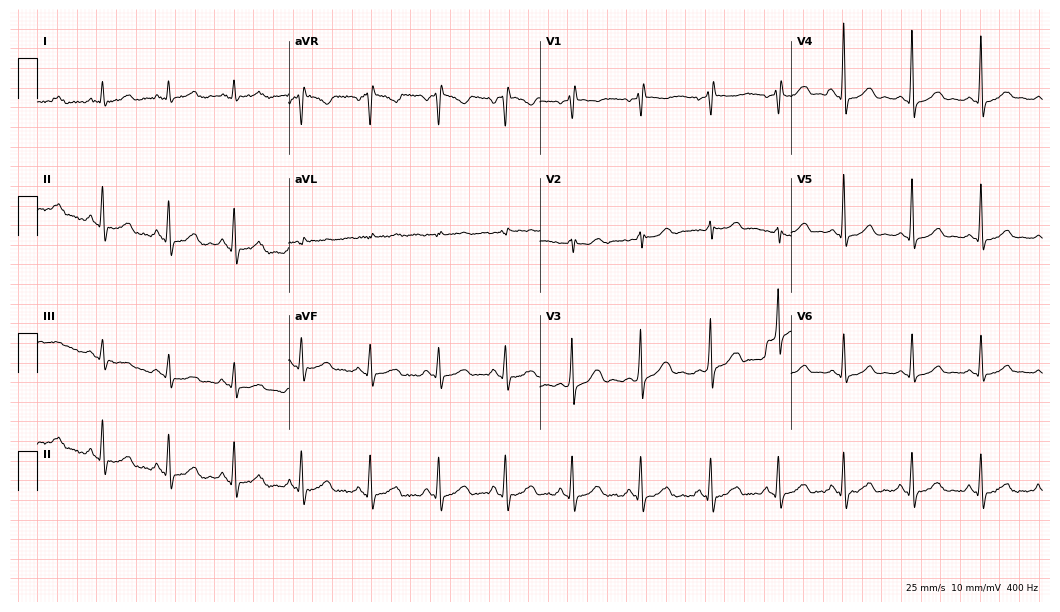
Resting 12-lead electrocardiogram. Patient: a 43-year-old woman. None of these six findings is recorded: first-degree AV block, right bundle branch block, left bundle branch block, sinus bradycardia, atrial fibrillation, sinus tachycardia. Other findings, if any, are not listed.